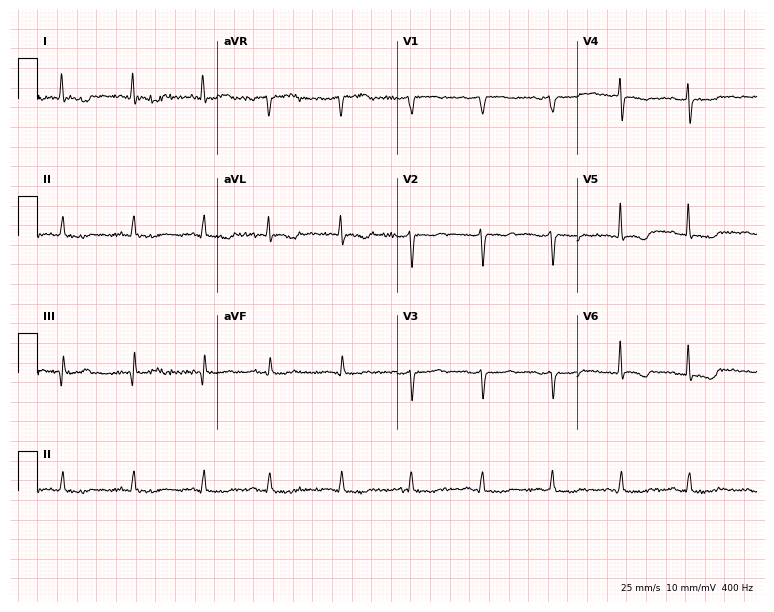
12-lead ECG from a woman, 84 years old. Screened for six findings — first-degree AV block, right bundle branch block, left bundle branch block, sinus bradycardia, atrial fibrillation, sinus tachycardia — none is recorded. Findings outside these six are not listed.